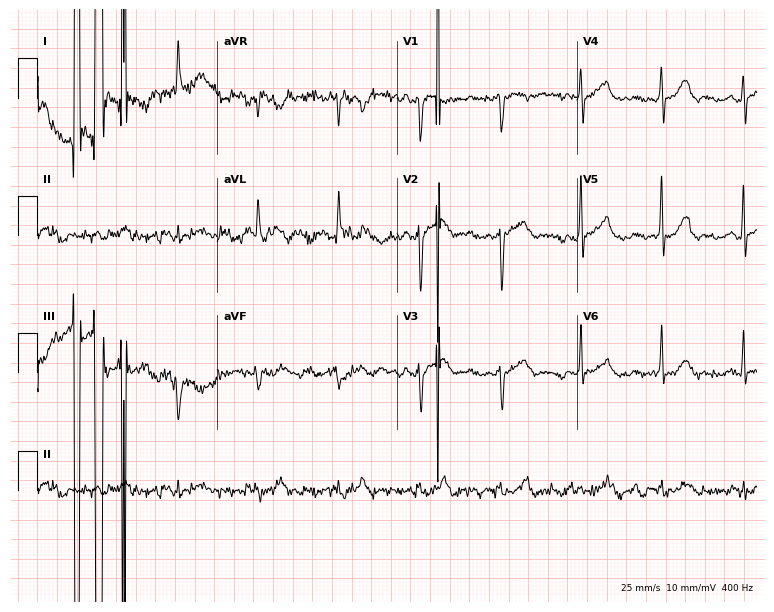
12-lead ECG from a male, 78 years old. No first-degree AV block, right bundle branch block (RBBB), left bundle branch block (LBBB), sinus bradycardia, atrial fibrillation (AF) or sinus tachycardia recorded for this tracing. Only these six findings were labelled.